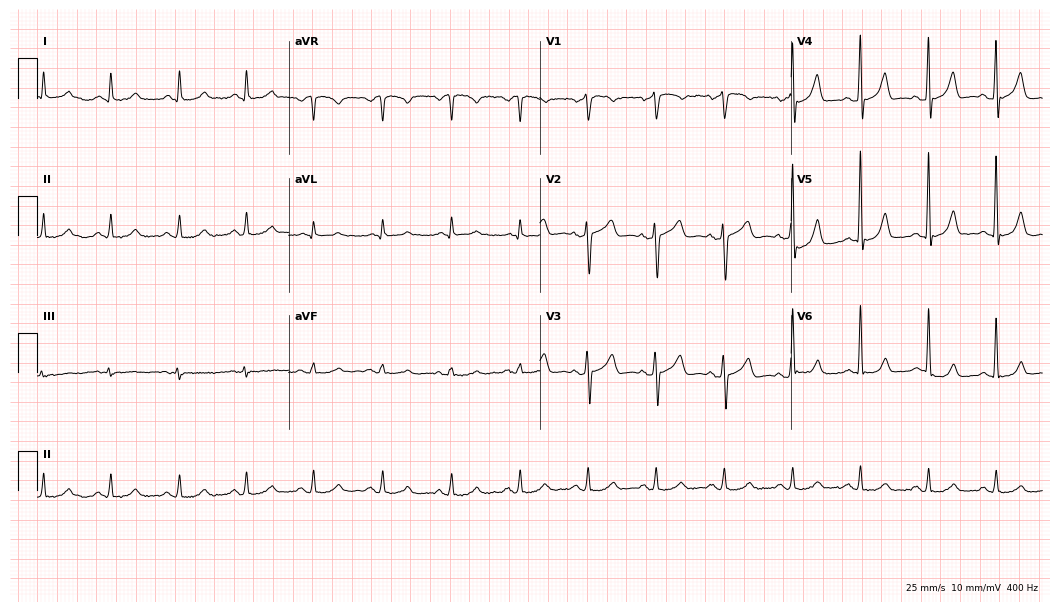
12-lead ECG (10.2-second recording at 400 Hz) from a male patient, 63 years old. Labelled as a normal ECG.